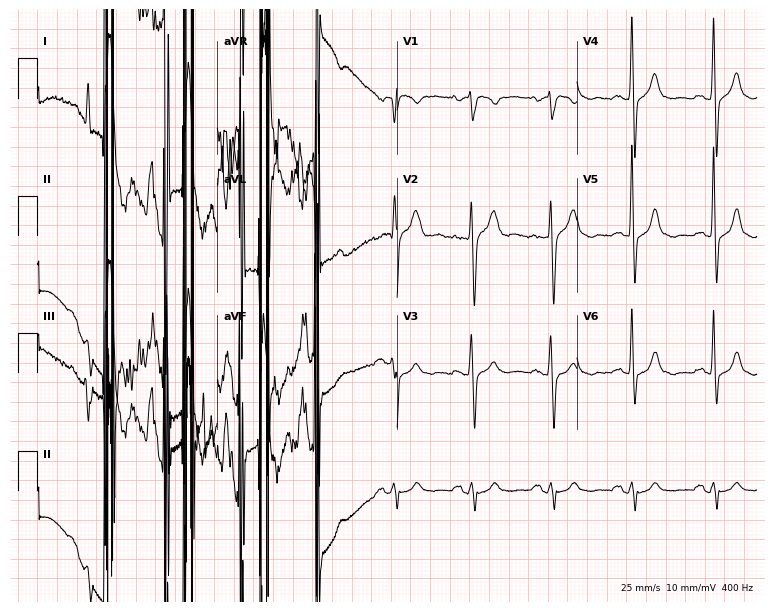
12-lead ECG from a man, 69 years old. Screened for six findings — first-degree AV block, right bundle branch block, left bundle branch block, sinus bradycardia, atrial fibrillation, sinus tachycardia — none is recorded.